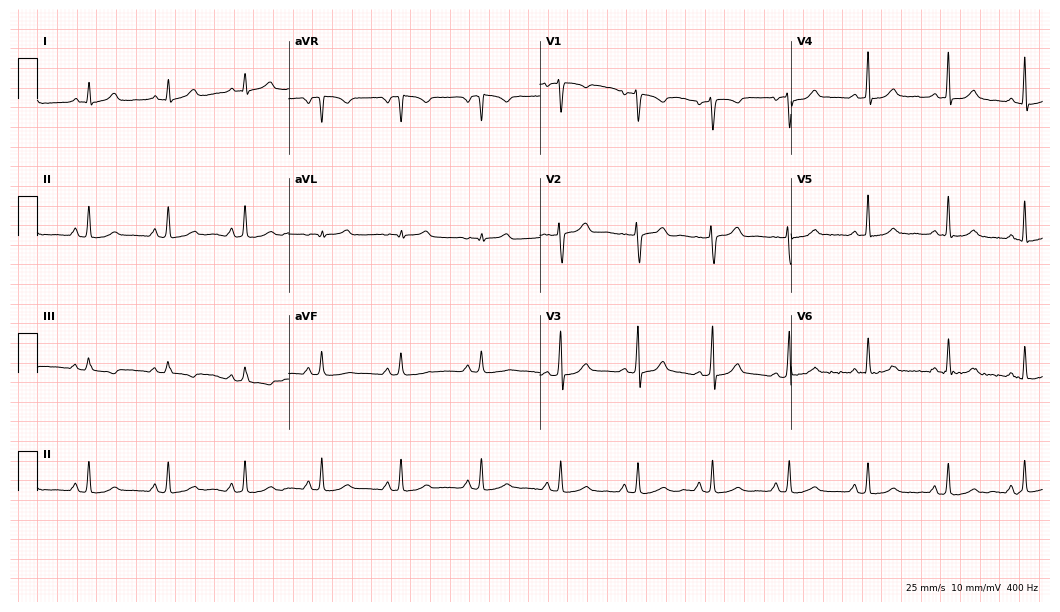
ECG (10.2-second recording at 400 Hz) — a 19-year-old woman. Labelled as a normal ECG.